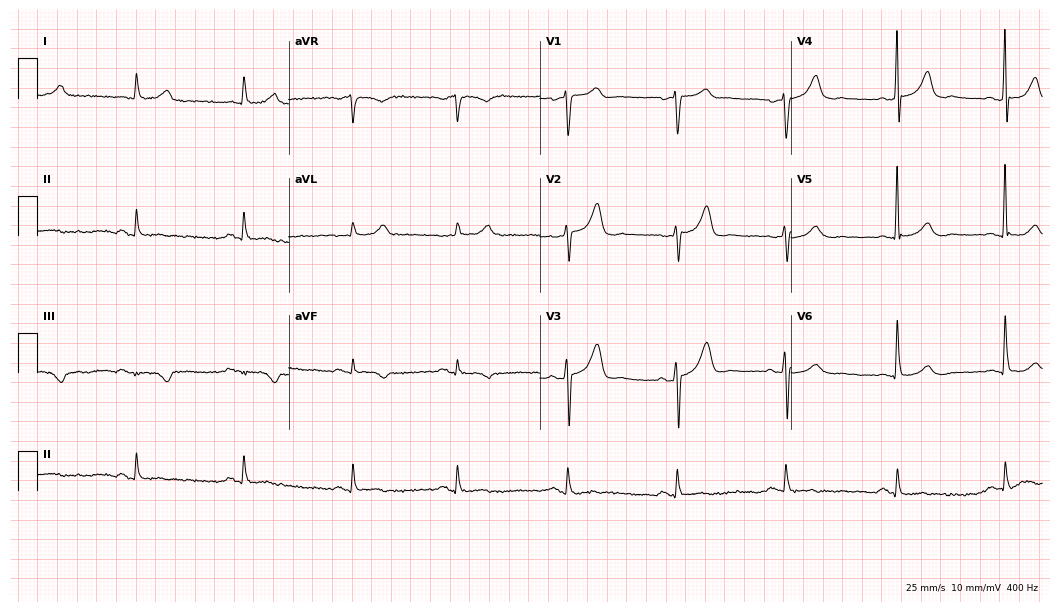
Standard 12-lead ECG recorded from a male patient, 79 years old. Read as a normal ECG.